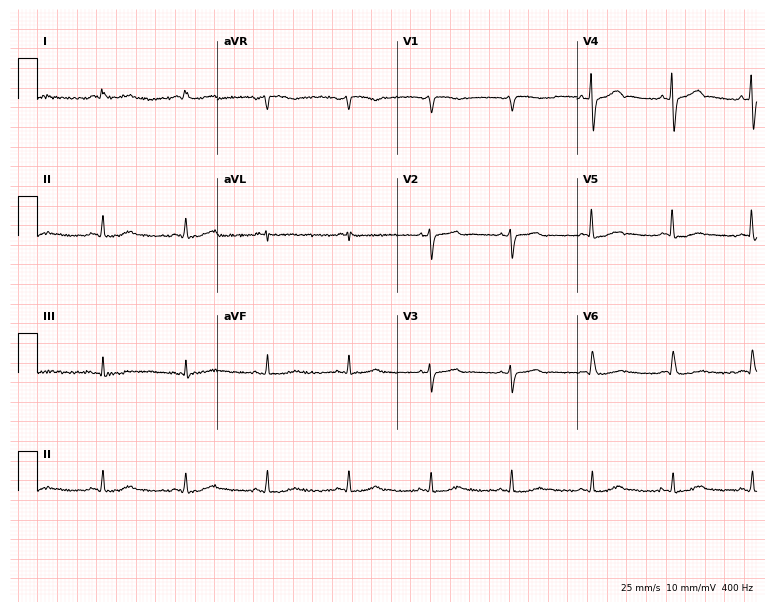
12-lead ECG from a 76-year-old man (7.3-second recording at 400 Hz). No first-degree AV block, right bundle branch block (RBBB), left bundle branch block (LBBB), sinus bradycardia, atrial fibrillation (AF) or sinus tachycardia recorded for this tracing. Findings outside these six are not listed.